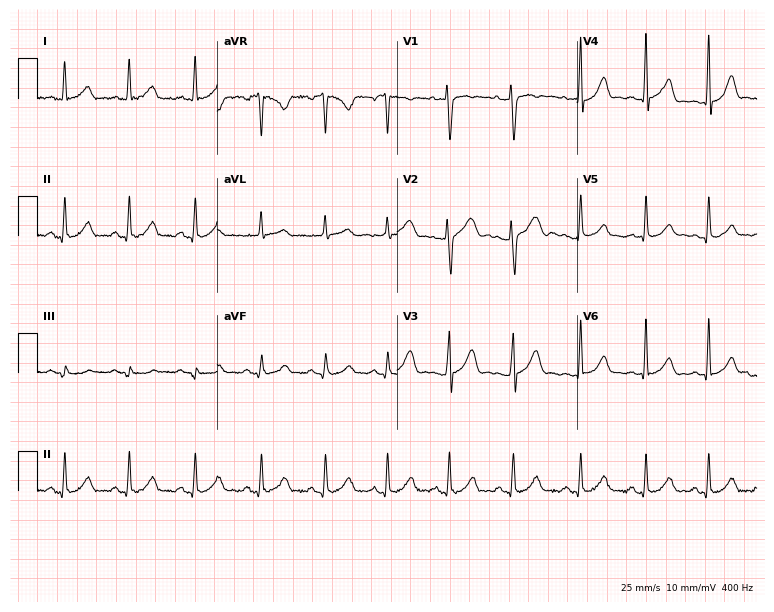
ECG — a 23-year-old female. Labelled as a normal ECG.